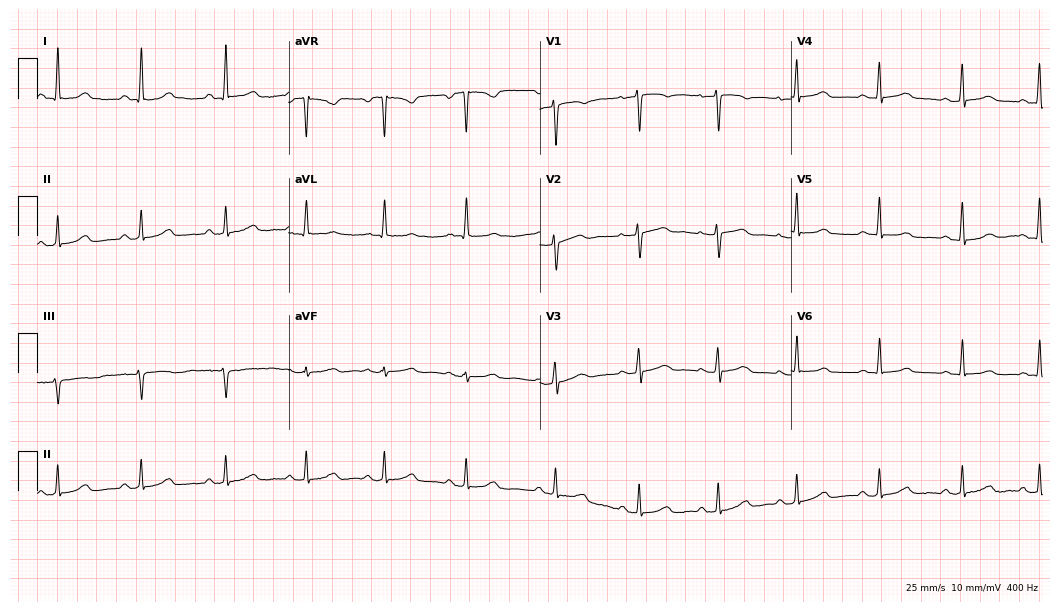
Electrocardiogram, a female, 54 years old. Overall reading on record: normal ECG.